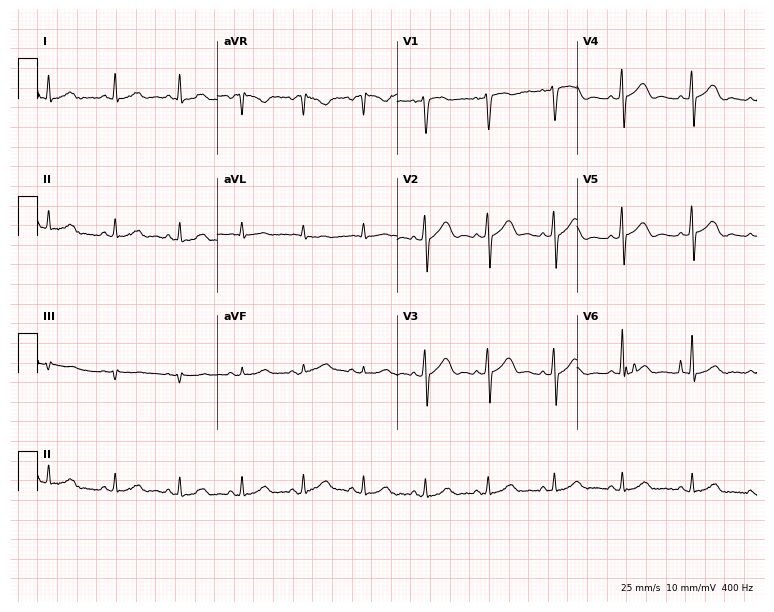
Standard 12-lead ECG recorded from a male, 47 years old (7.3-second recording at 400 Hz). None of these six findings is recorded: first-degree AV block, right bundle branch block, left bundle branch block, sinus bradycardia, atrial fibrillation, sinus tachycardia. Findings outside these six are not listed.